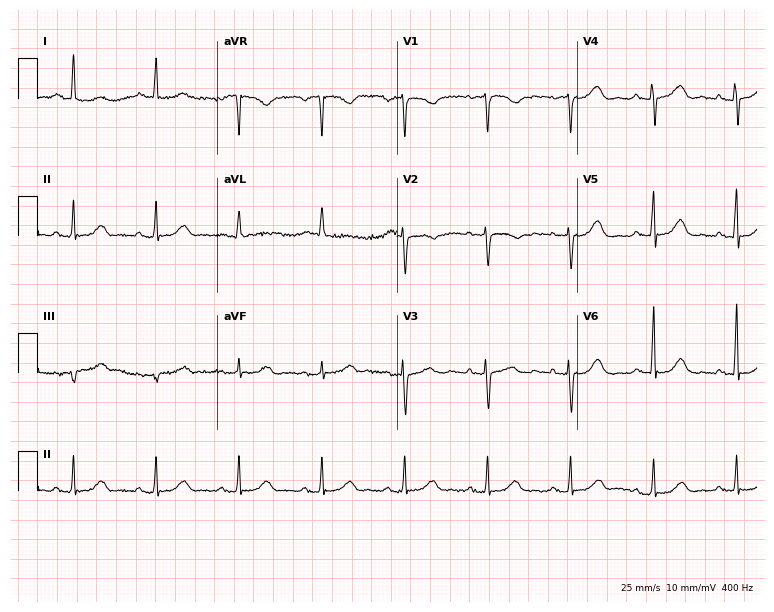
12-lead ECG from a woman, 75 years old. No first-degree AV block, right bundle branch block, left bundle branch block, sinus bradycardia, atrial fibrillation or sinus tachycardia recorded for this tracing.